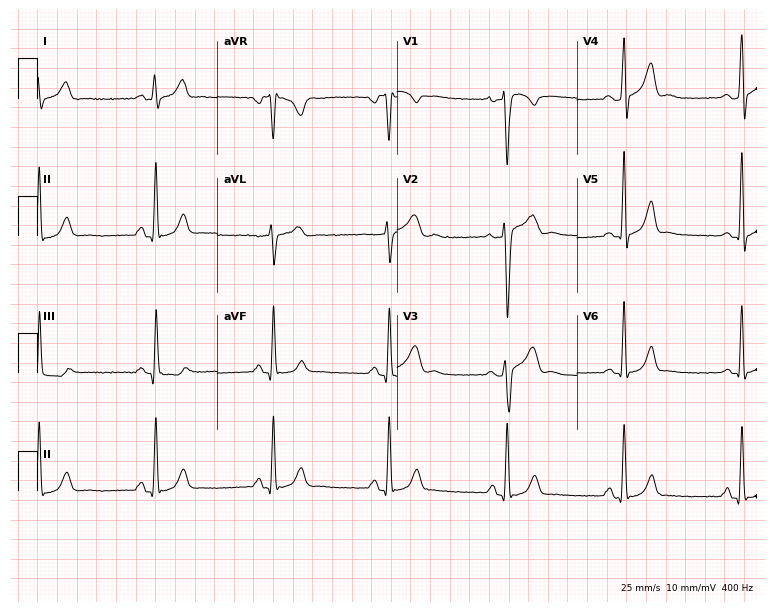
12-lead ECG from a male, 29 years old. Shows sinus bradycardia (a sinus rate of 50 beats per minute or less).